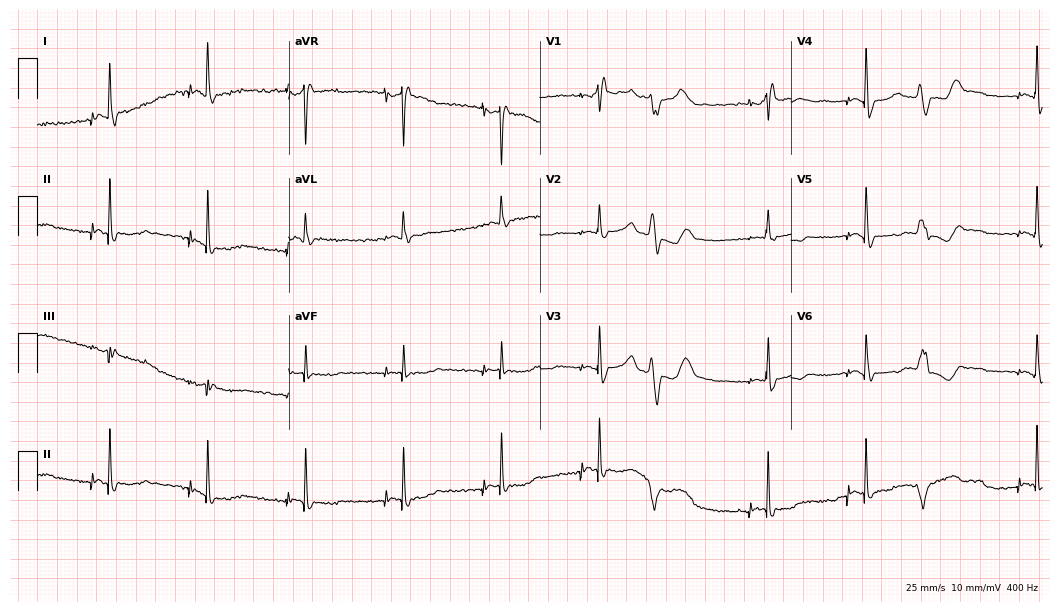
12-lead ECG (10.2-second recording at 400 Hz) from a 63-year-old male. Screened for six findings — first-degree AV block, right bundle branch block (RBBB), left bundle branch block (LBBB), sinus bradycardia, atrial fibrillation (AF), sinus tachycardia — none is recorded. Findings outside these six are not listed.